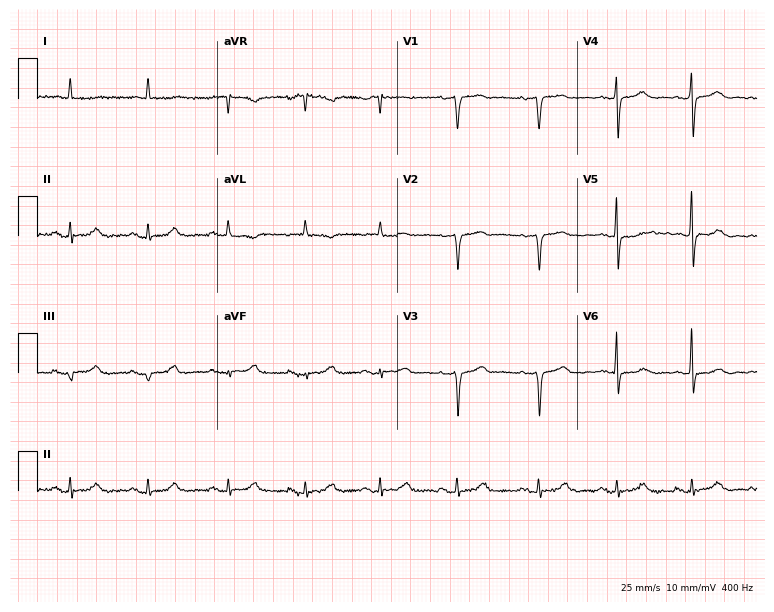
Standard 12-lead ECG recorded from a female patient, 65 years old (7.3-second recording at 400 Hz). Read as a normal ECG.